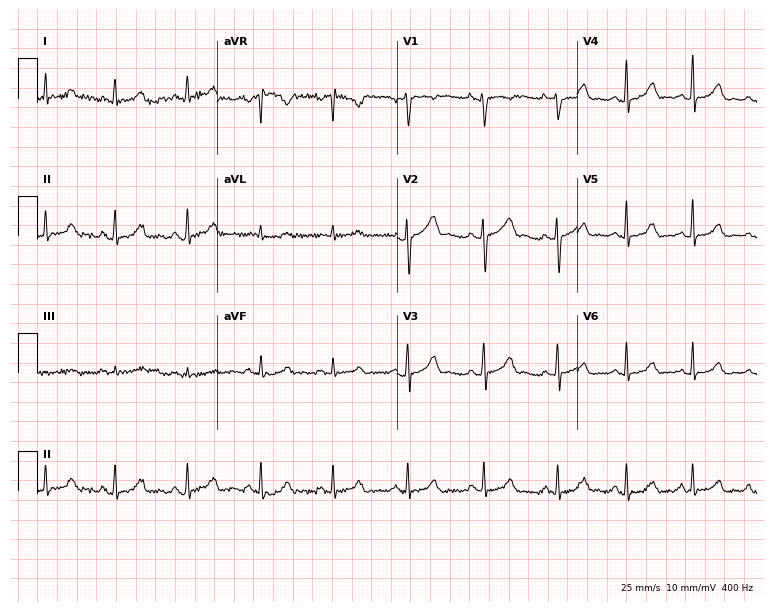
ECG (7.3-second recording at 400 Hz) — a 24-year-old female patient. Screened for six findings — first-degree AV block, right bundle branch block, left bundle branch block, sinus bradycardia, atrial fibrillation, sinus tachycardia — none is recorded. Only these six findings were labelled.